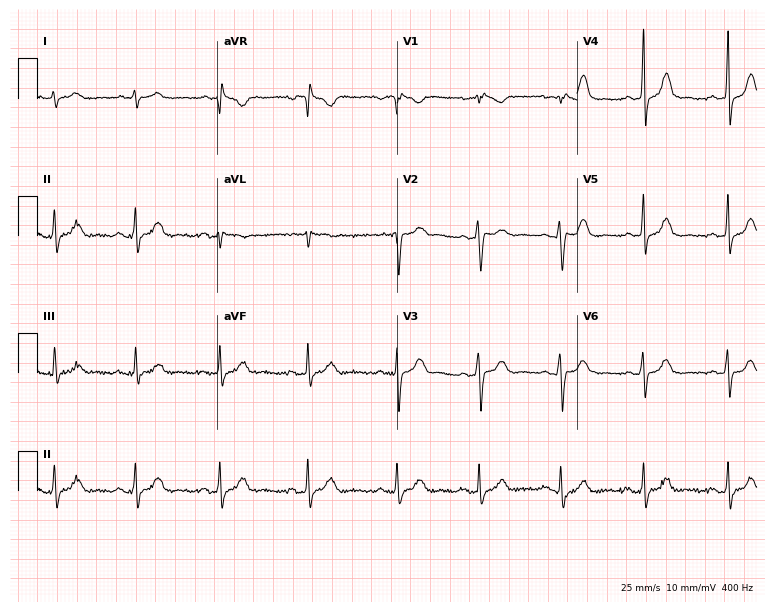
Electrocardiogram, a female, 38 years old. Of the six screened findings (first-degree AV block, right bundle branch block (RBBB), left bundle branch block (LBBB), sinus bradycardia, atrial fibrillation (AF), sinus tachycardia), none is recorded. Other findings, if any, are not listed.